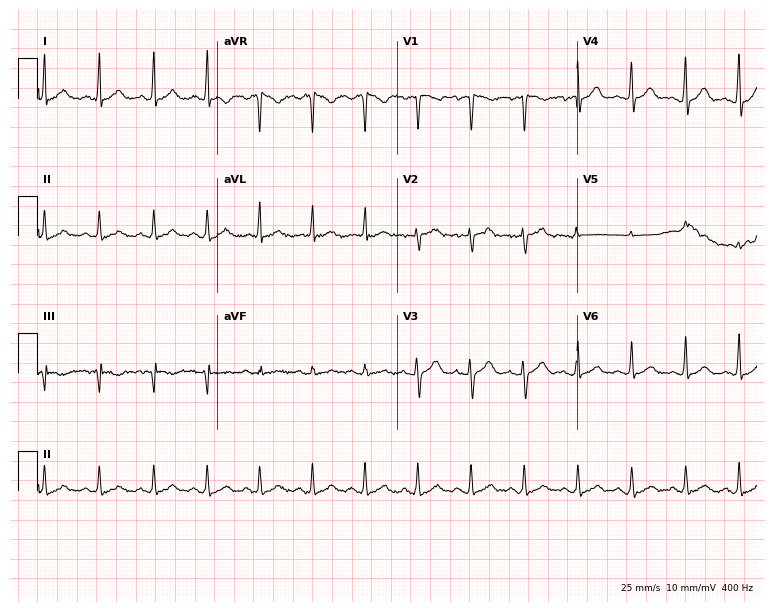
12-lead ECG (7.3-second recording at 400 Hz) from a 52-year-old female. Findings include sinus tachycardia (a sinus rate of 100 beats per minute or more).